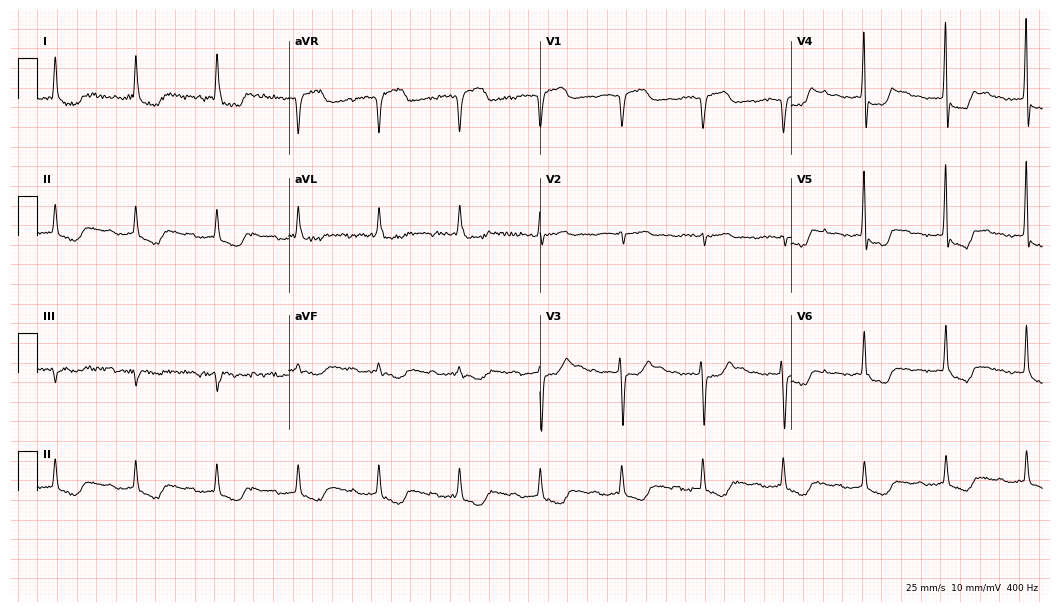
Resting 12-lead electrocardiogram. Patient: a female, 64 years old. None of these six findings is recorded: first-degree AV block, right bundle branch block, left bundle branch block, sinus bradycardia, atrial fibrillation, sinus tachycardia.